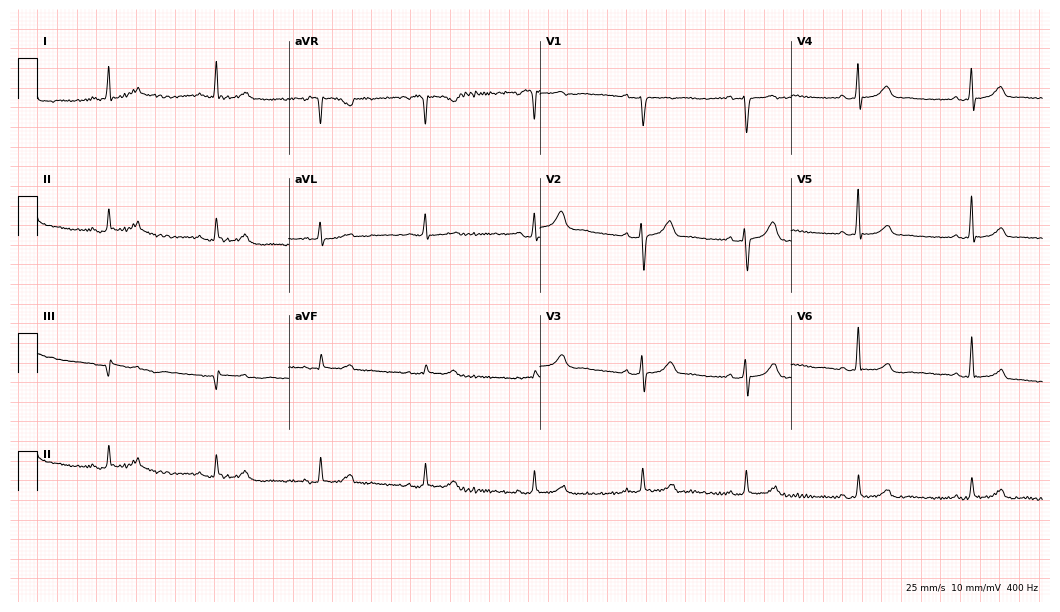
12-lead ECG from a female patient, 45 years old. Recorded interpretation: within normal limits.